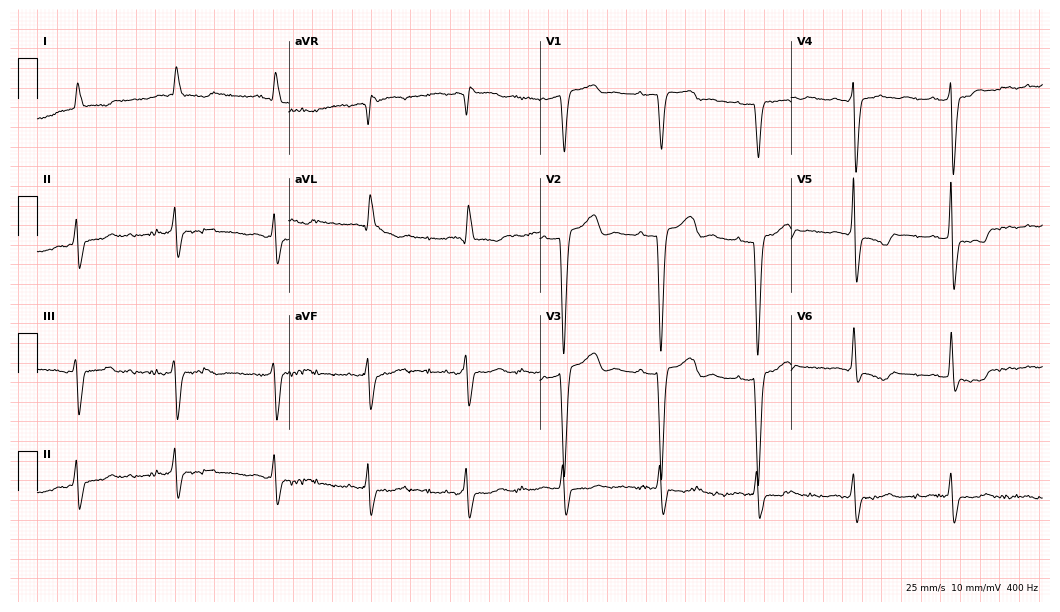
12-lead ECG from a male, 81 years old (10.2-second recording at 400 Hz). Shows left bundle branch block (LBBB).